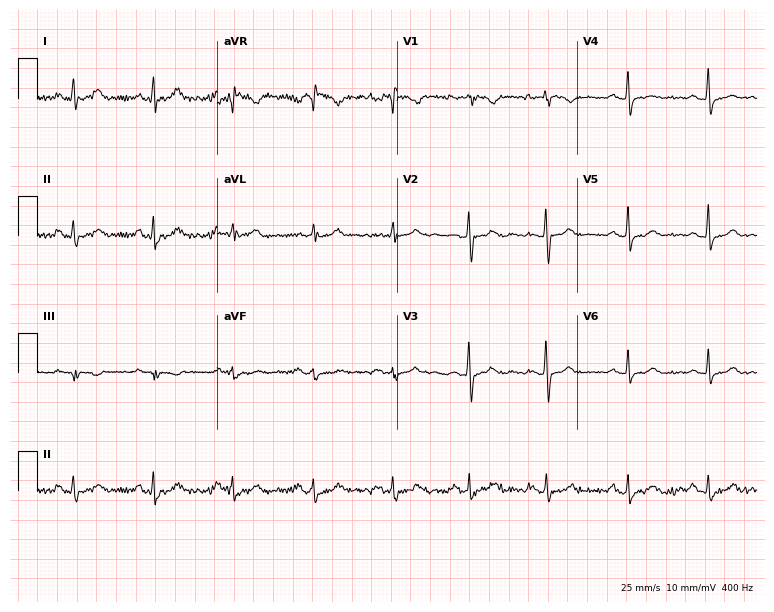
12-lead ECG (7.3-second recording at 400 Hz) from a woman, 30 years old. Labelled as a normal ECG.